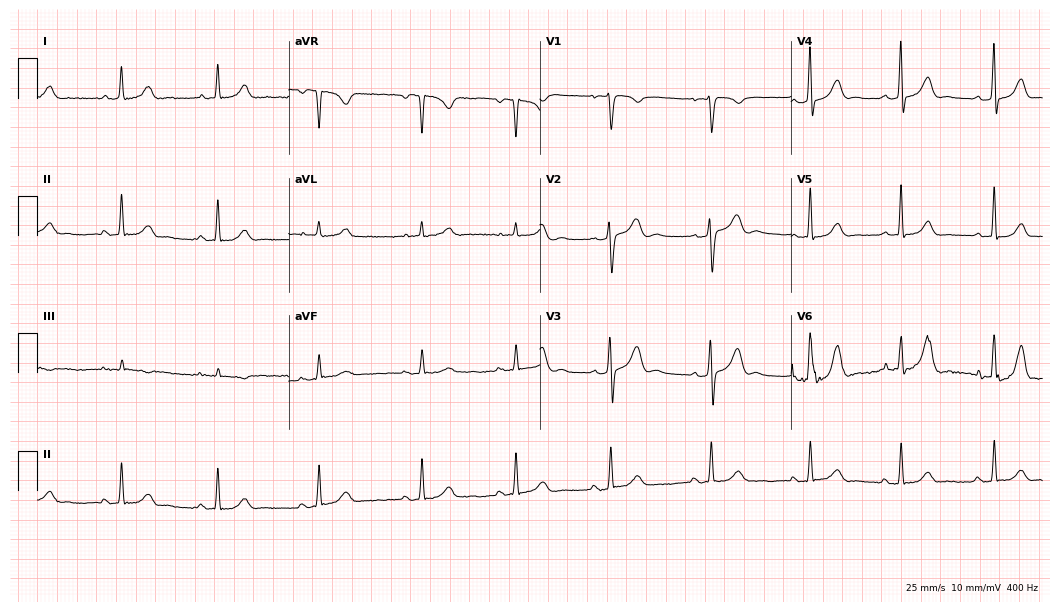
Resting 12-lead electrocardiogram. Patient: a female, 28 years old. None of these six findings is recorded: first-degree AV block, right bundle branch block, left bundle branch block, sinus bradycardia, atrial fibrillation, sinus tachycardia.